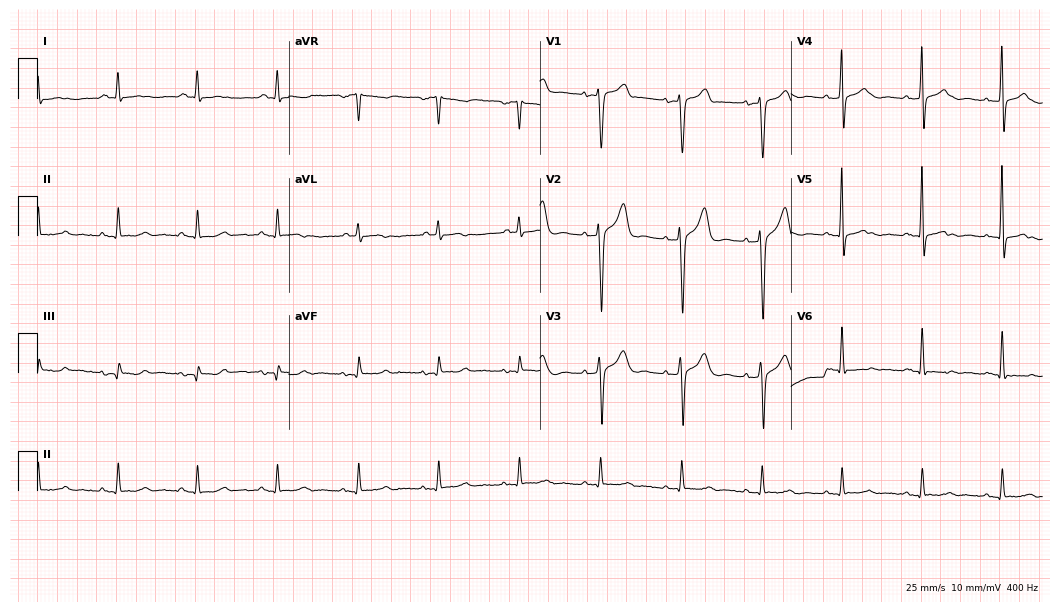
Electrocardiogram, a male, 80 years old. Overall reading on record: normal ECG.